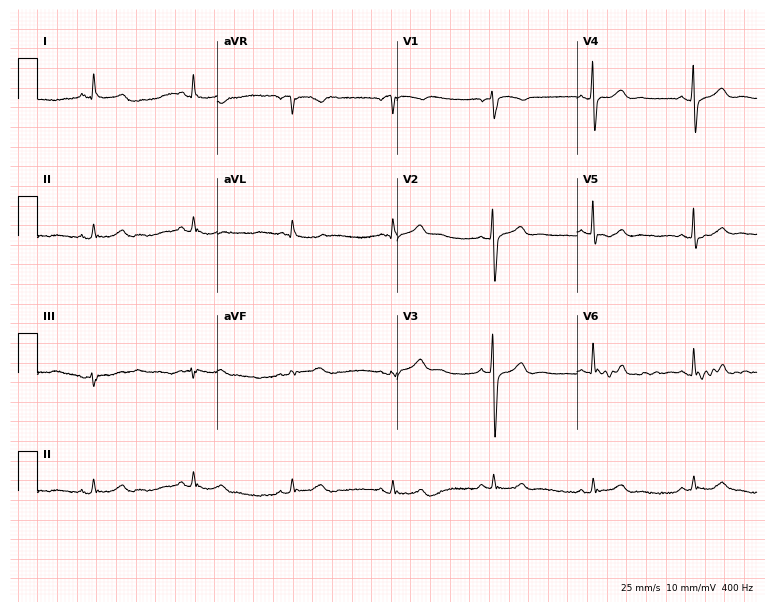
ECG (7.3-second recording at 400 Hz) — a man, 65 years old. Labelled as a normal ECG.